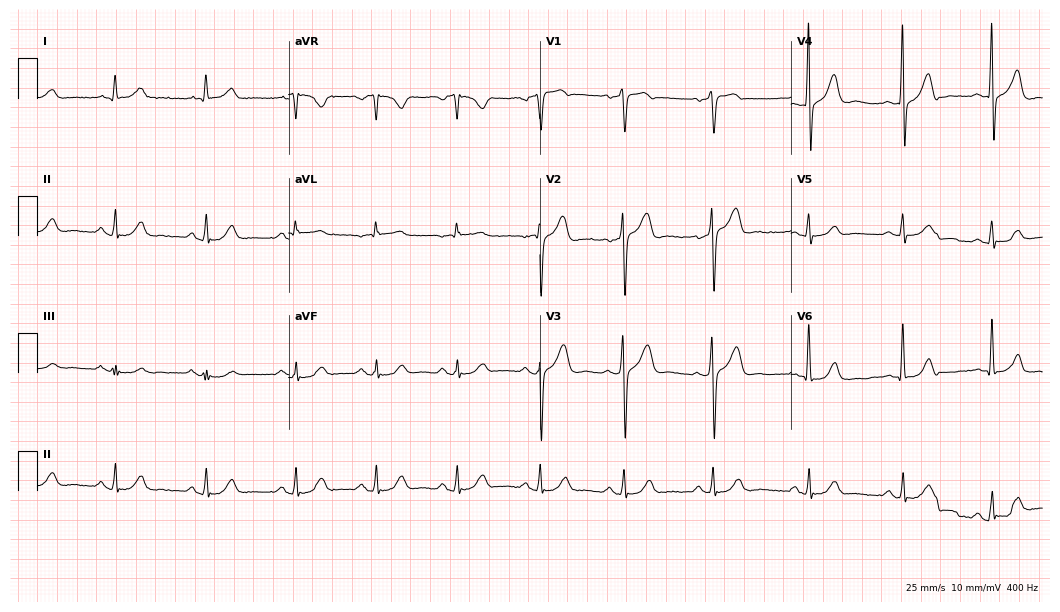
Electrocardiogram (10.2-second recording at 400 Hz), a 73-year-old male. Overall reading on record: normal ECG.